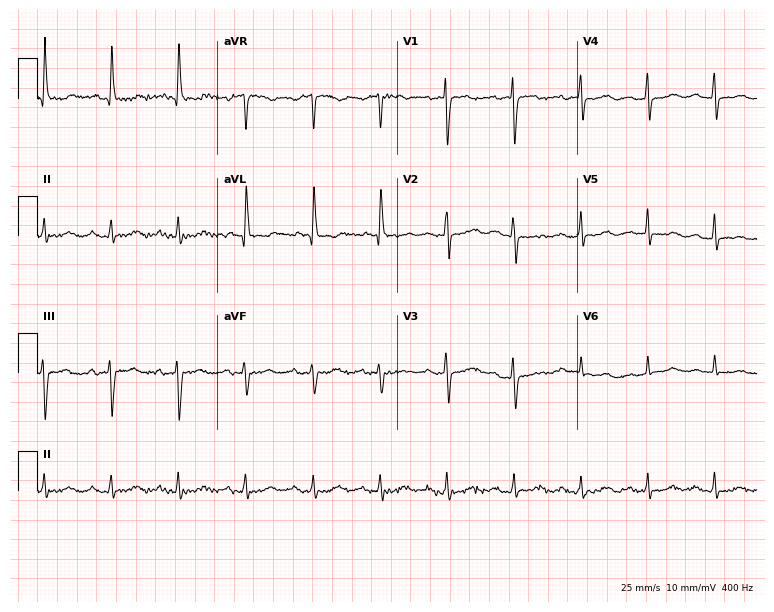
Electrocardiogram (7.3-second recording at 400 Hz), a 79-year-old female. Overall reading on record: normal ECG.